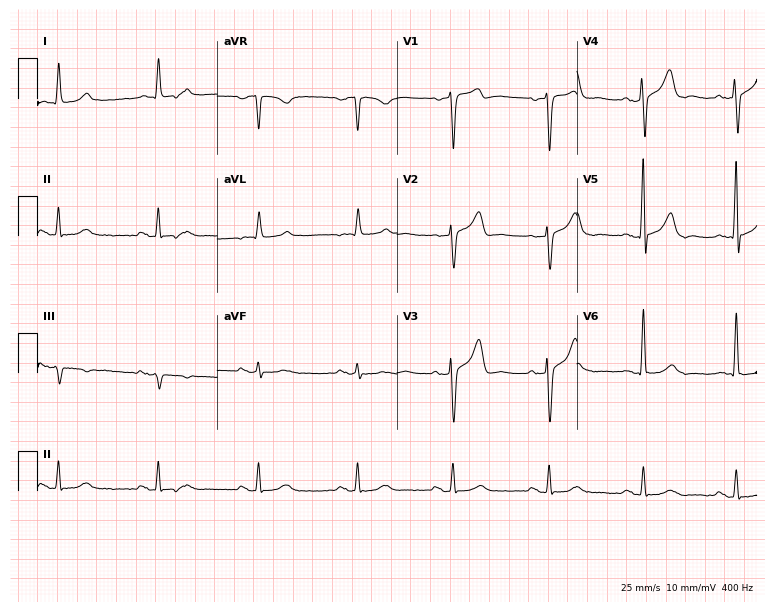
Resting 12-lead electrocardiogram (7.3-second recording at 400 Hz). Patient: a male, 73 years old. None of these six findings is recorded: first-degree AV block, right bundle branch block, left bundle branch block, sinus bradycardia, atrial fibrillation, sinus tachycardia.